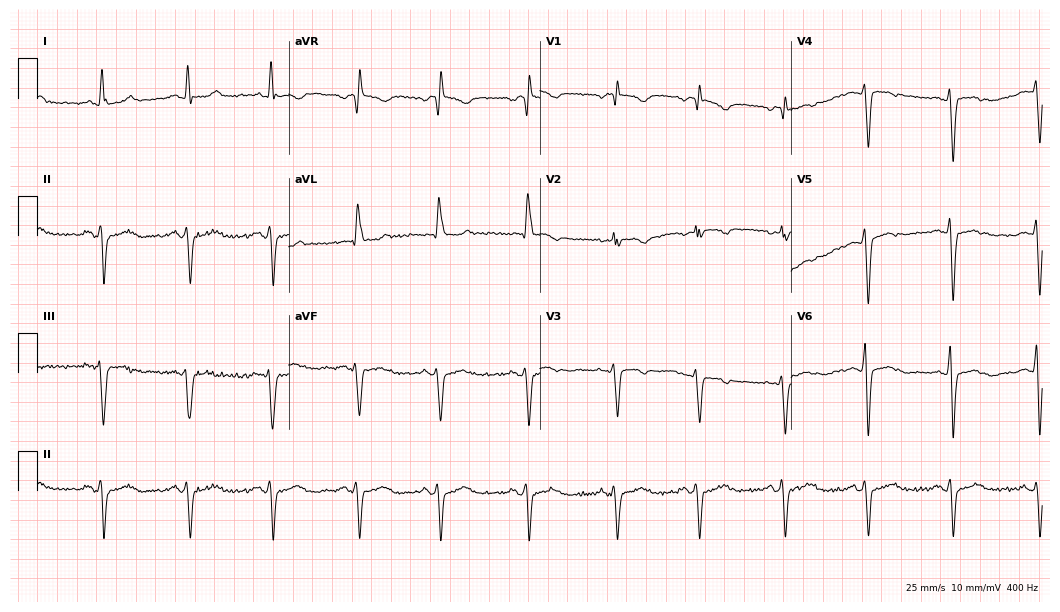
Electrocardiogram, a 66-year-old woman. Of the six screened findings (first-degree AV block, right bundle branch block, left bundle branch block, sinus bradycardia, atrial fibrillation, sinus tachycardia), none is recorded. Findings outside these six are not listed.